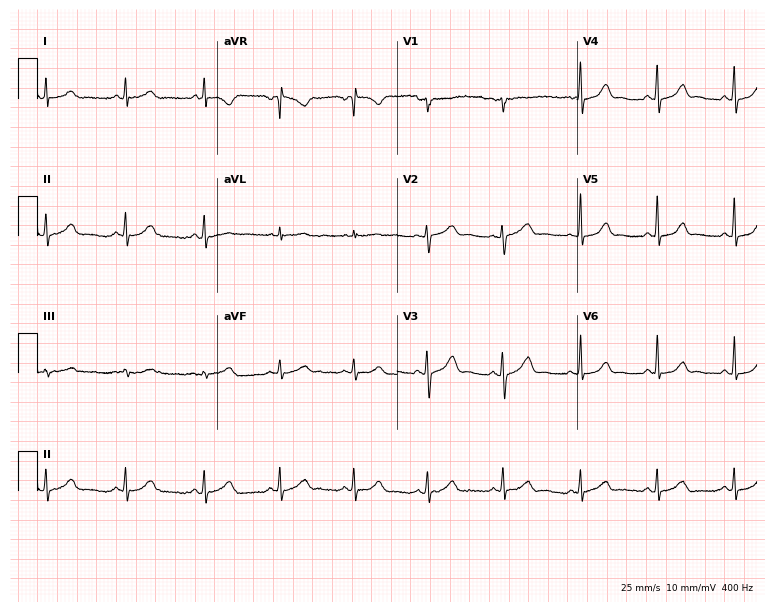
Electrocardiogram (7.3-second recording at 400 Hz), a 35-year-old female. Of the six screened findings (first-degree AV block, right bundle branch block (RBBB), left bundle branch block (LBBB), sinus bradycardia, atrial fibrillation (AF), sinus tachycardia), none is recorded.